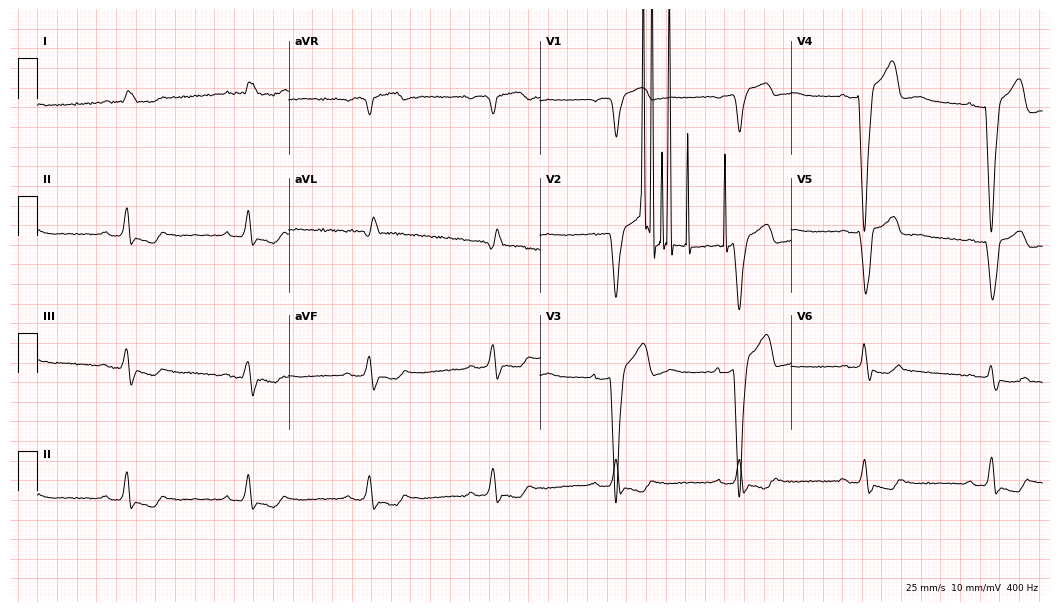
12-lead ECG from a male patient, 69 years old (10.2-second recording at 400 Hz). Shows left bundle branch block.